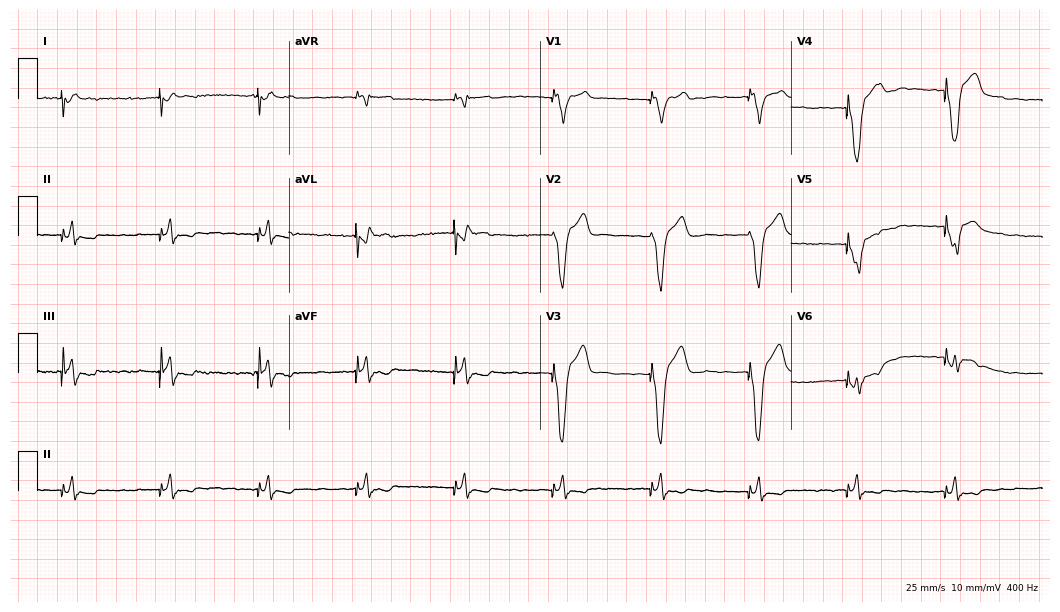
Standard 12-lead ECG recorded from a male patient, 76 years old. None of these six findings is recorded: first-degree AV block, right bundle branch block, left bundle branch block, sinus bradycardia, atrial fibrillation, sinus tachycardia. Findings outside these six are not listed.